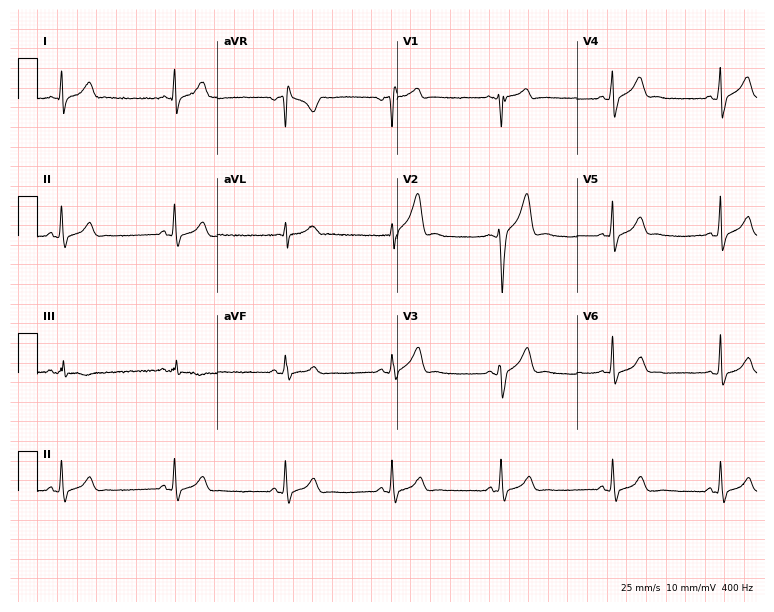
Standard 12-lead ECG recorded from a man, 23 years old. Read as a normal ECG.